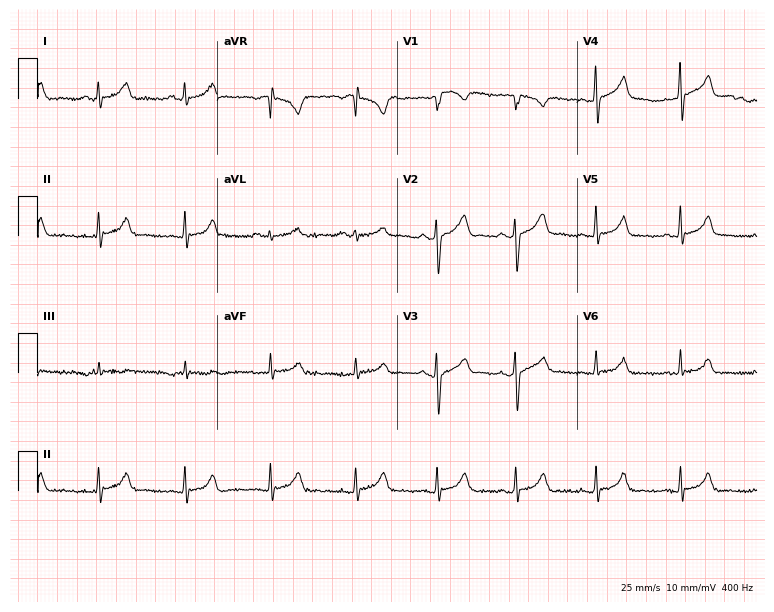
Electrocardiogram, a 36-year-old male. Overall reading on record: normal ECG.